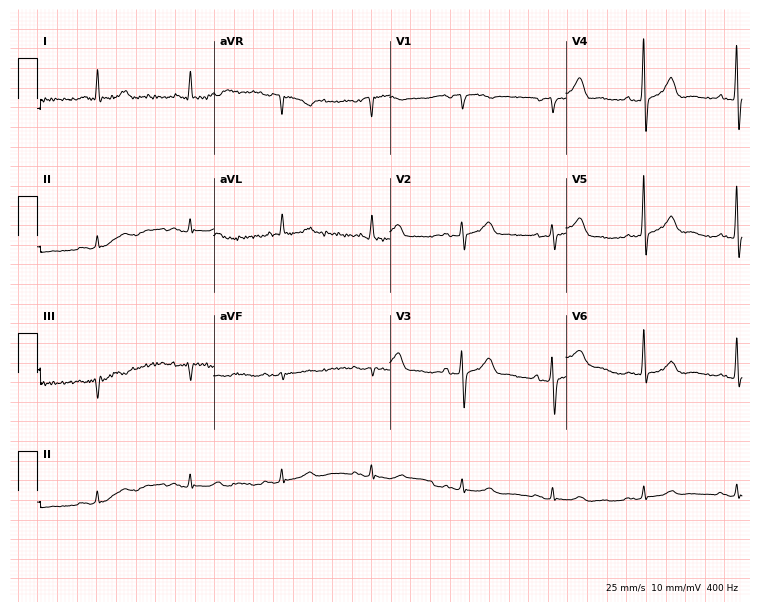
12-lead ECG from a male, 79 years old. Screened for six findings — first-degree AV block, right bundle branch block, left bundle branch block, sinus bradycardia, atrial fibrillation, sinus tachycardia — none is recorded. Other findings, if any, are not listed.